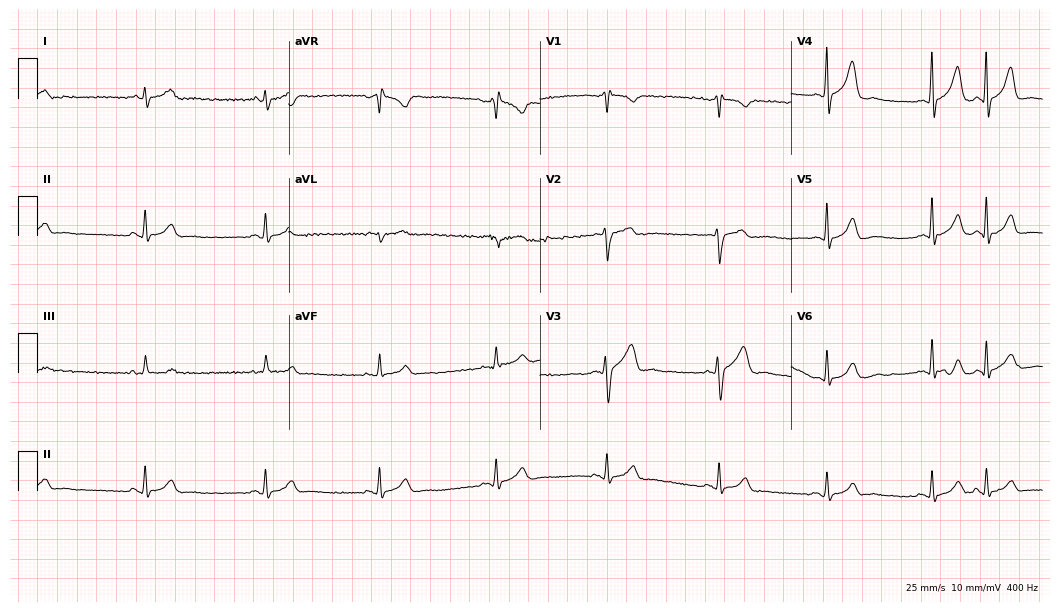
Resting 12-lead electrocardiogram. Patient: a man, 29 years old. Read as a normal ECG.